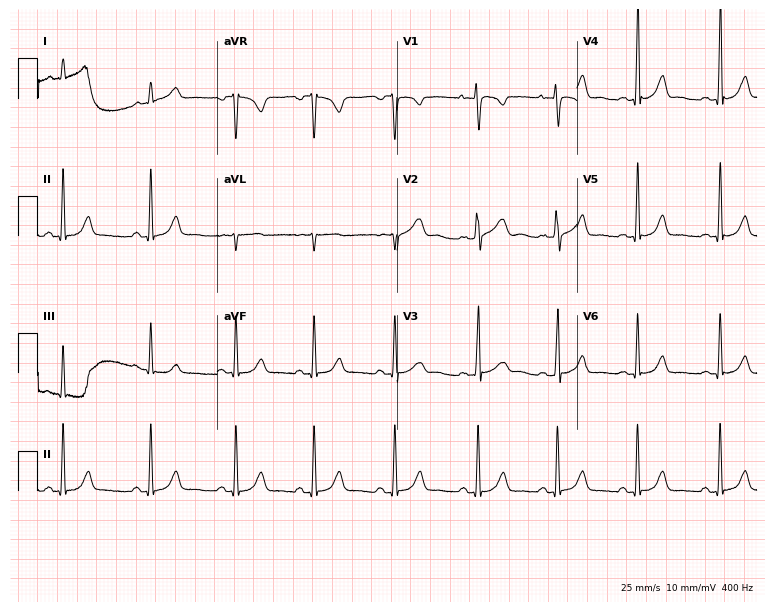
12-lead ECG (7.3-second recording at 400 Hz) from a 31-year-old female. Labelled as a normal ECG.